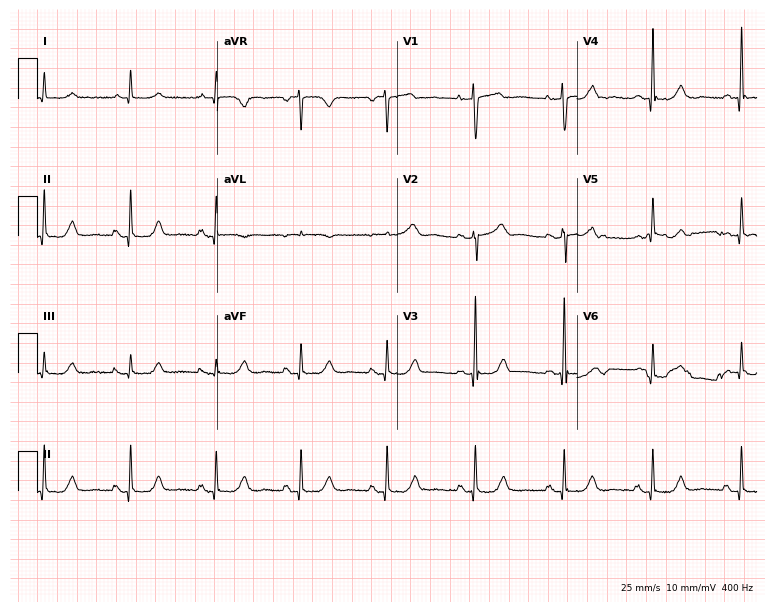
ECG — a 67-year-old female patient. Labelled as a normal ECG.